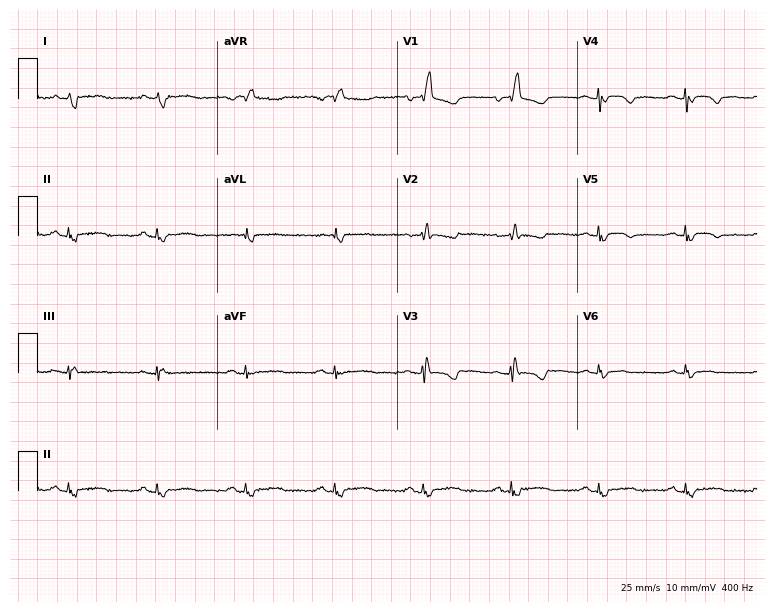
12-lead ECG from a 57-year-old female patient (7.3-second recording at 400 Hz). No first-degree AV block, right bundle branch block (RBBB), left bundle branch block (LBBB), sinus bradycardia, atrial fibrillation (AF) or sinus tachycardia recorded for this tracing. Other findings, if any, are not listed.